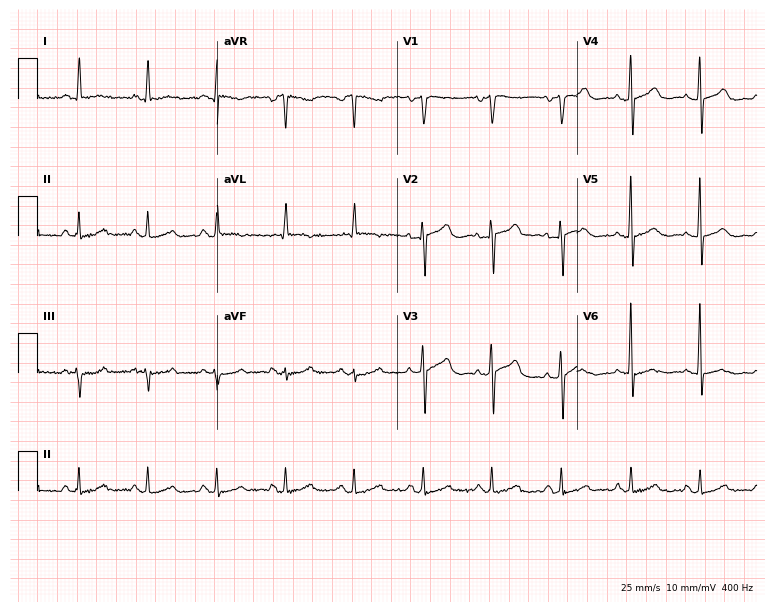
Standard 12-lead ECG recorded from a 69-year-old female. Read as a normal ECG.